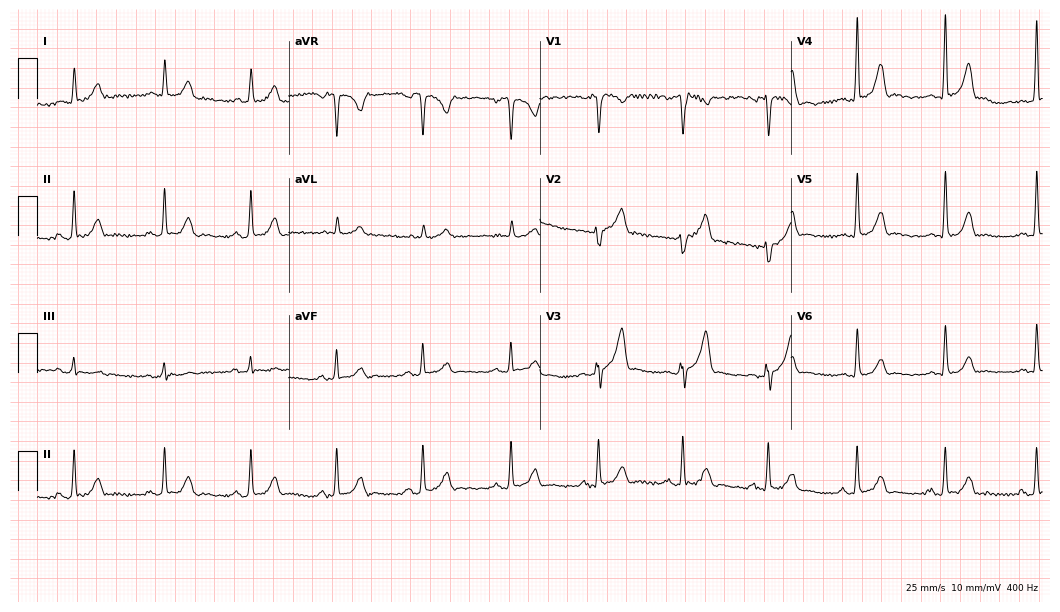
Electrocardiogram (10.2-second recording at 400 Hz), a 56-year-old male patient. Overall reading on record: normal ECG.